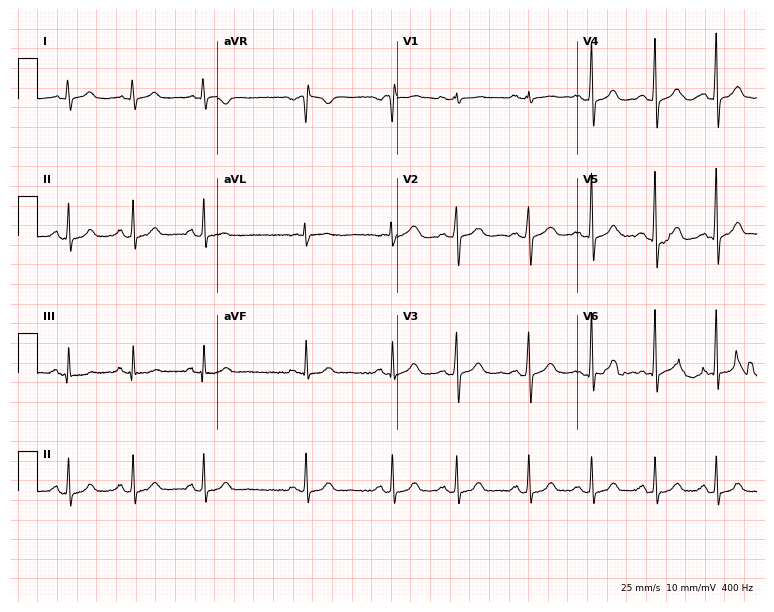
Electrocardiogram, a 35-year-old female patient. Overall reading on record: normal ECG.